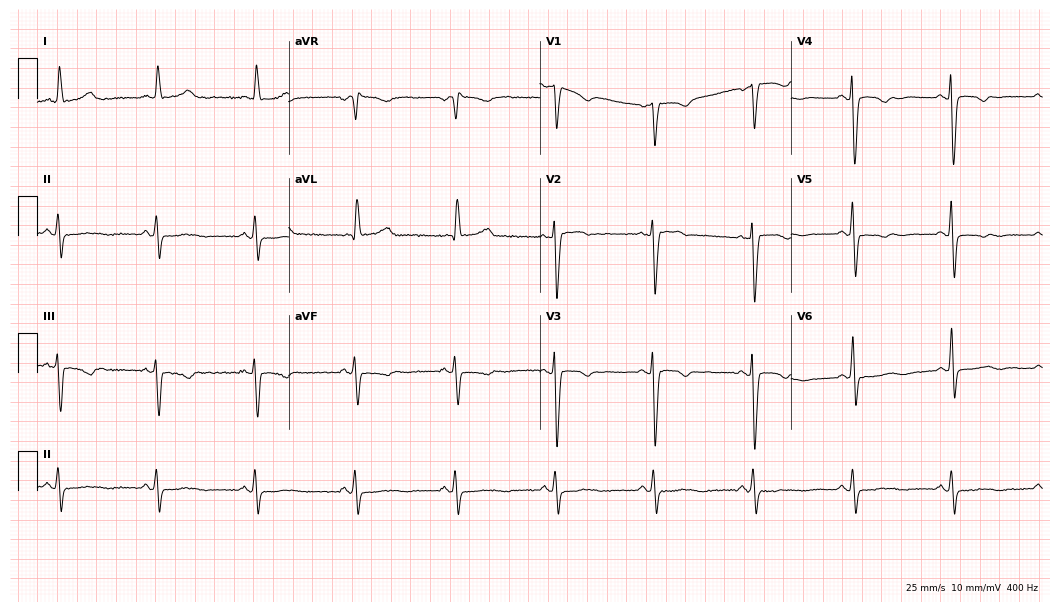
Standard 12-lead ECG recorded from a 65-year-old female patient. None of these six findings is recorded: first-degree AV block, right bundle branch block, left bundle branch block, sinus bradycardia, atrial fibrillation, sinus tachycardia. Other findings, if any, are not listed.